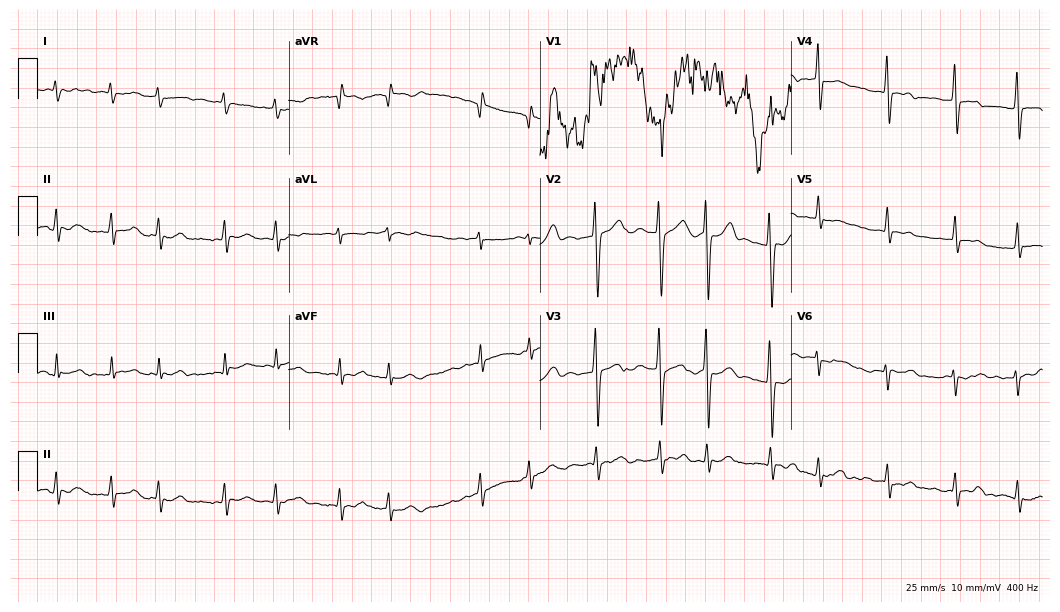
12-lead ECG from a male patient, 57 years old. Shows atrial fibrillation (AF).